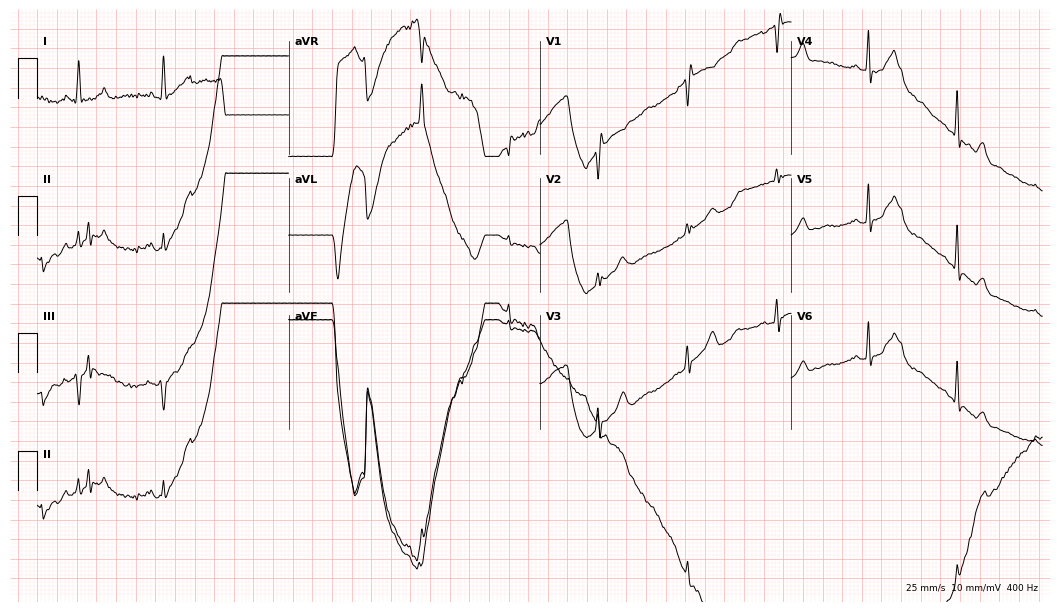
12-lead ECG from a 64-year-old female. Screened for six findings — first-degree AV block, right bundle branch block, left bundle branch block, sinus bradycardia, atrial fibrillation, sinus tachycardia — none is recorded.